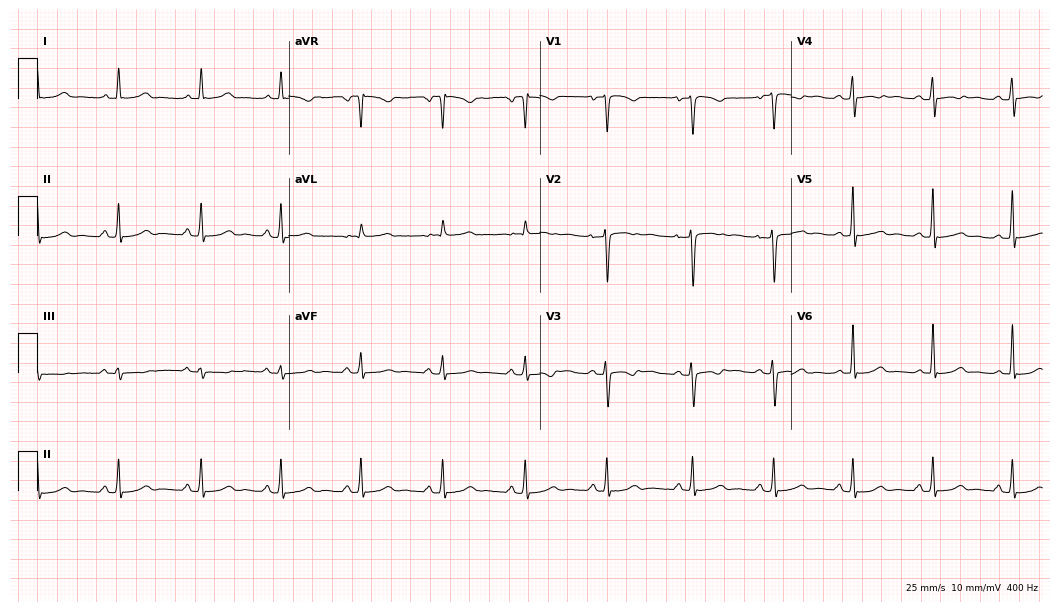
Standard 12-lead ECG recorded from a female patient, 37 years old. Read as a normal ECG.